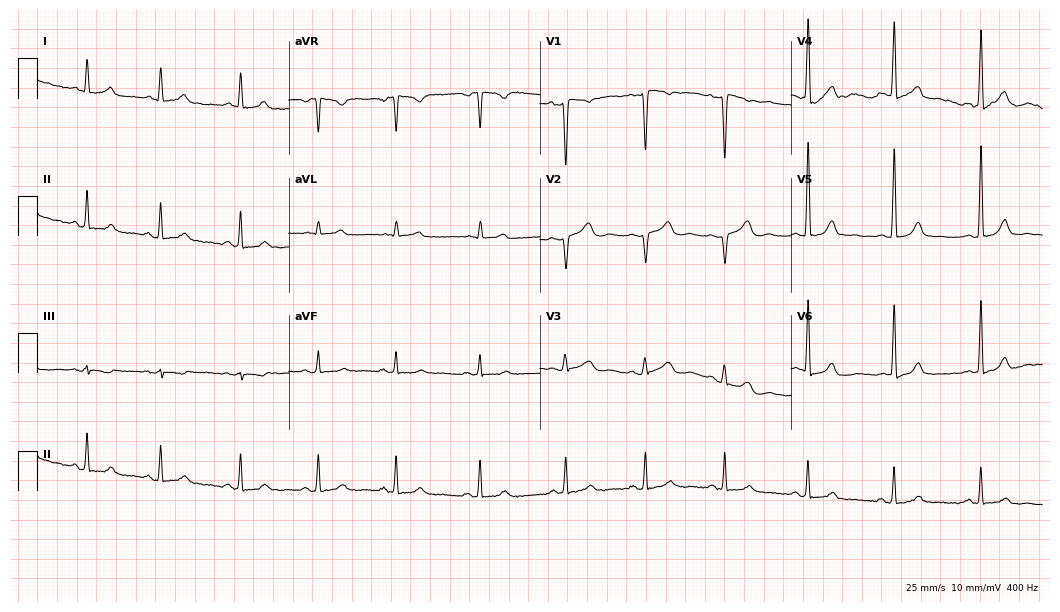
Electrocardiogram, a woman, 44 years old. Overall reading on record: normal ECG.